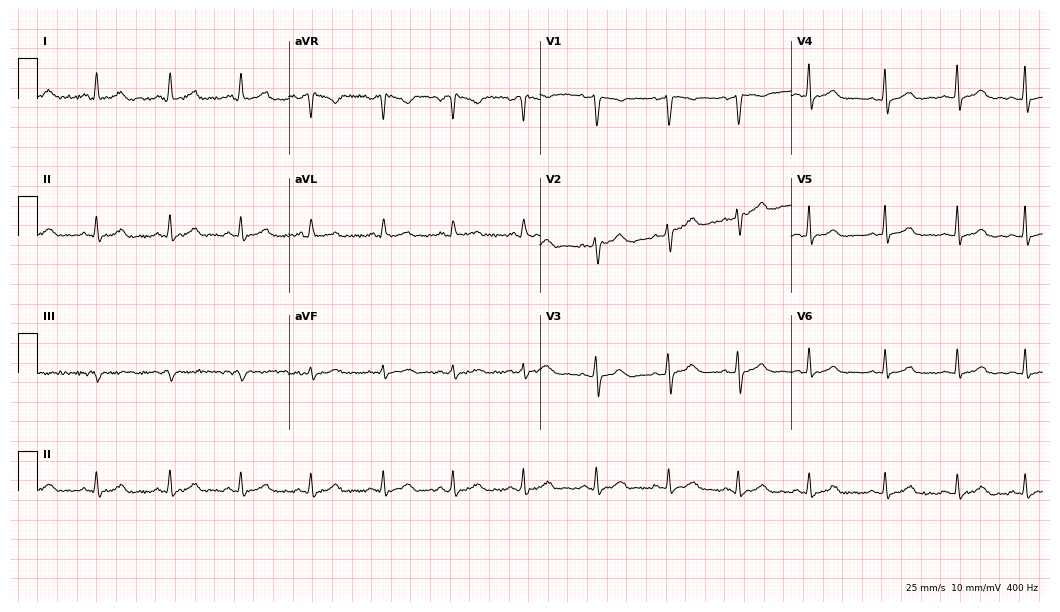
Standard 12-lead ECG recorded from a female, 37 years old (10.2-second recording at 400 Hz). Read as a normal ECG.